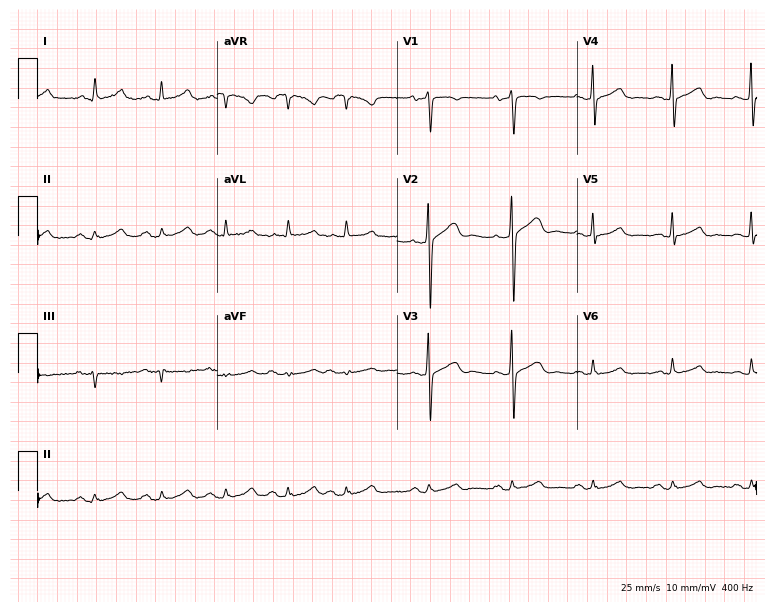
Resting 12-lead electrocardiogram (7.3-second recording at 400 Hz). Patient: a 59-year-old woman. None of these six findings is recorded: first-degree AV block, right bundle branch block, left bundle branch block, sinus bradycardia, atrial fibrillation, sinus tachycardia.